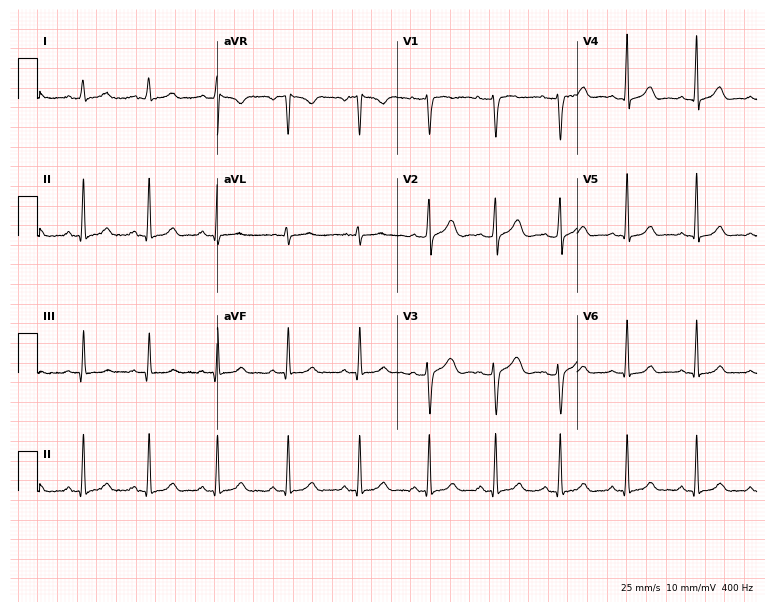
Resting 12-lead electrocardiogram. Patient: a 26-year-old female. Read as a normal ECG.